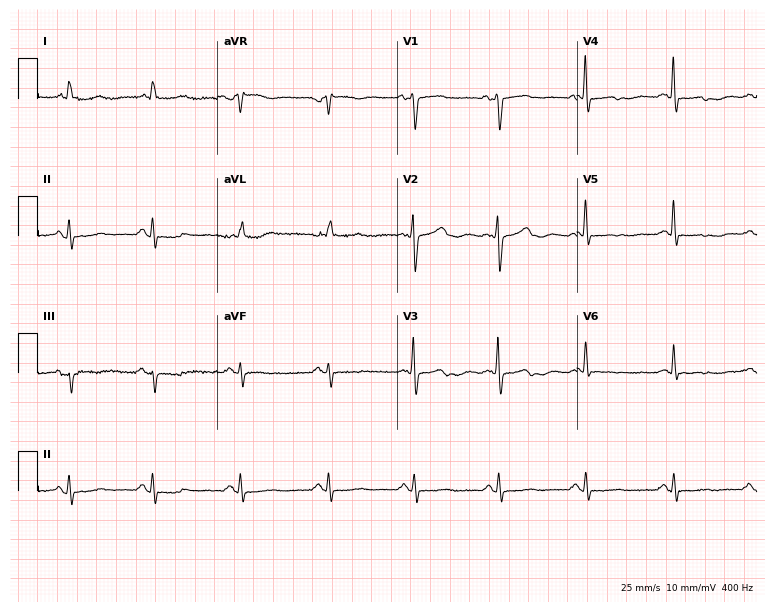
Electrocardiogram, a female, 72 years old. Of the six screened findings (first-degree AV block, right bundle branch block, left bundle branch block, sinus bradycardia, atrial fibrillation, sinus tachycardia), none is recorded. Other findings, if any, are not listed.